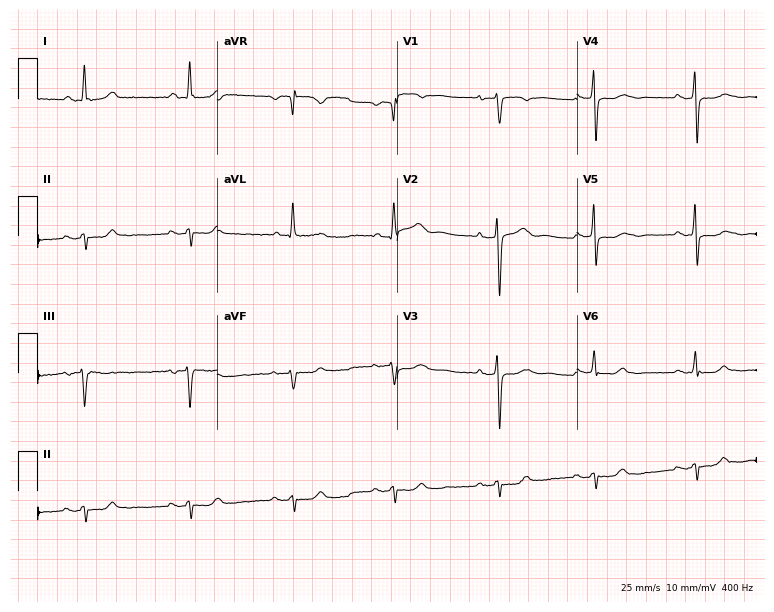
Standard 12-lead ECG recorded from a male patient, 73 years old. None of these six findings is recorded: first-degree AV block, right bundle branch block (RBBB), left bundle branch block (LBBB), sinus bradycardia, atrial fibrillation (AF), sinus tachycardia. Findings outside these six are not listed.